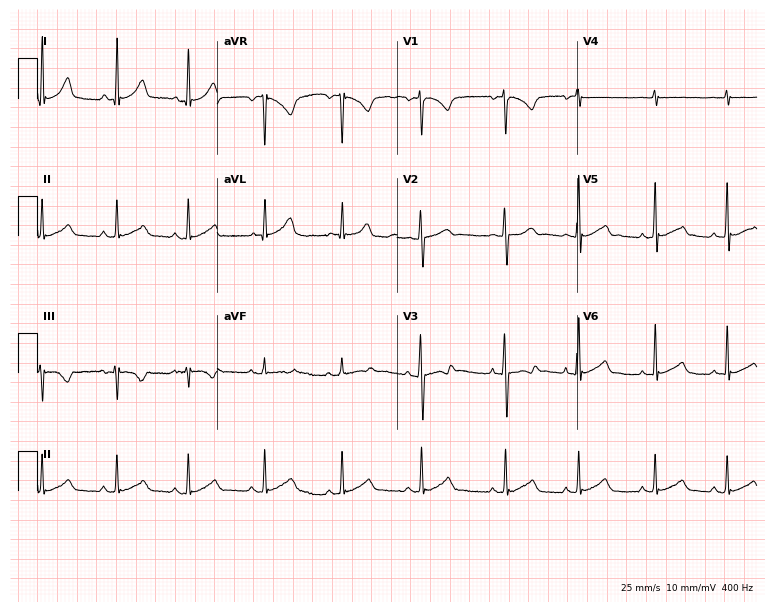
Resting 12-lead electrocardiogram (7.3-second recording at 400 Hz). Patient: a female, 19 years old. Read as a normal ECG.